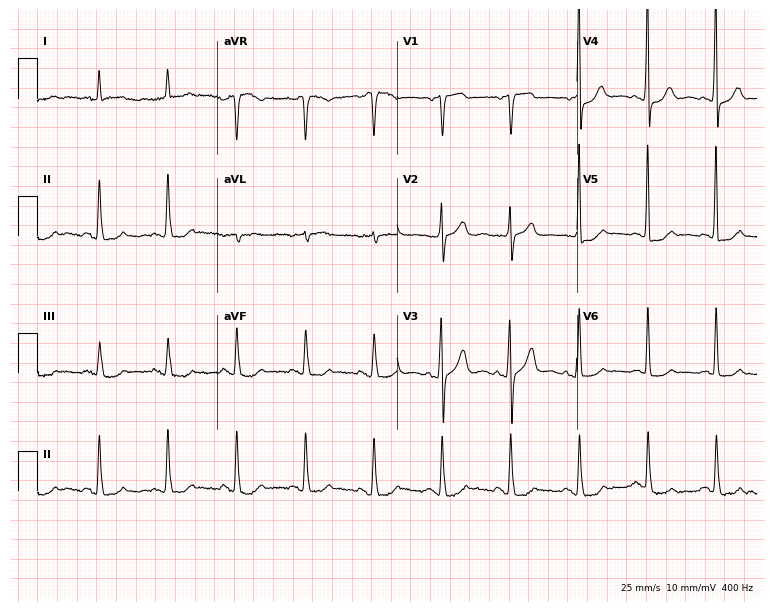
Electrocardiogram, a 77-year-old woman. Overall reading on record: normal ECG.